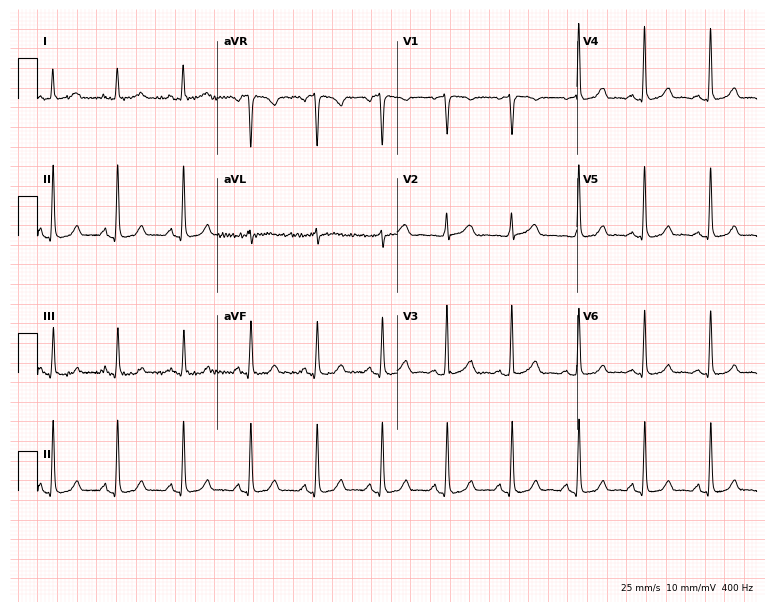
Electrocardiogram, a 45-year-old female. Overall reading on record: normal ECG.